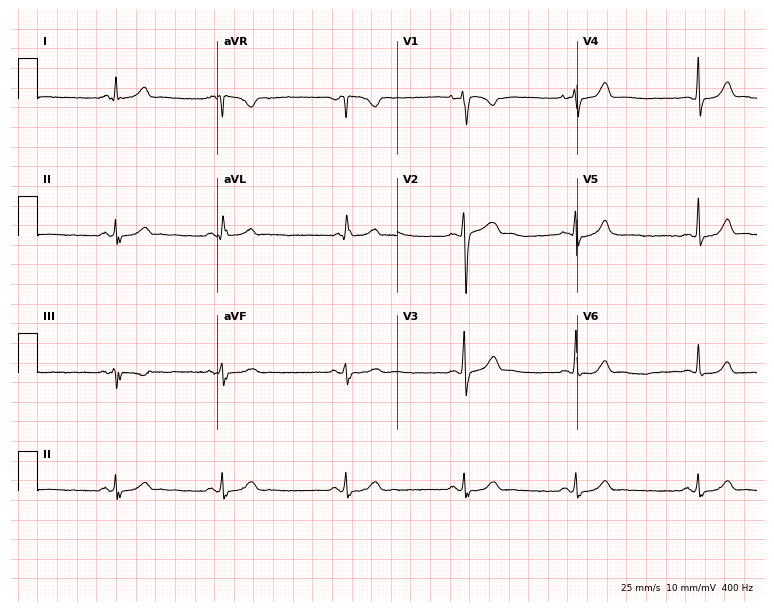
Resting 12-lead electrocardiogram (7.3-second recording at 400 Hz). Patient: a 24-year-old woman. Read as a normal ECG.